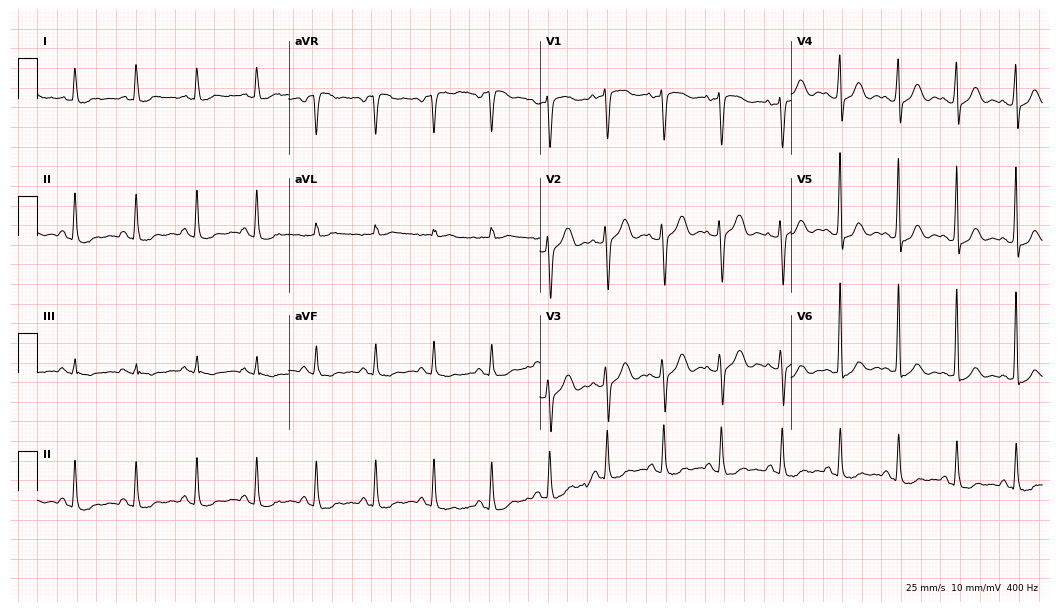
Electrocardiogram (10.2-second recording at 400 Hz), a 75-year-old female. Of the six screened findings (first-degree AV block, right bundle branch block (RBBB), left bundle branch block (LBBB), sinus bradycardia, atrial fibrillation (AF), sinus tachycardia), none is recorded. Only these six findings were labelled.